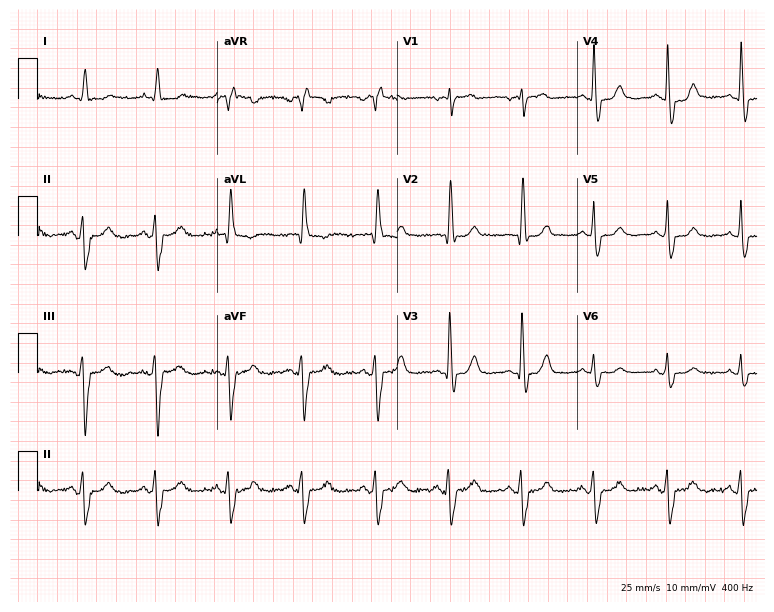
12-lead ECG from a 78-year-old female patient. Screened for six findings — first-degree AV block, right bundle branch block, left bundle branch block, sinus bradycardia, atrial fibrillation, sinus tachycardia — none is recorded. Other findings, if any, are not listed.